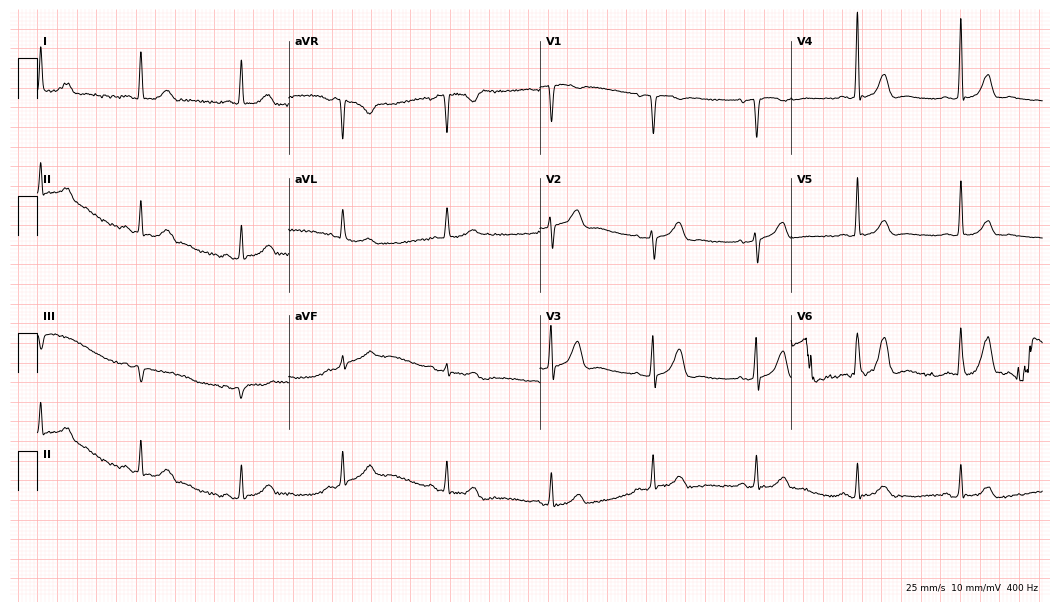
Standard 12-lead ECG recorded from a female patient, 65 years old. Read as a normal ECG.